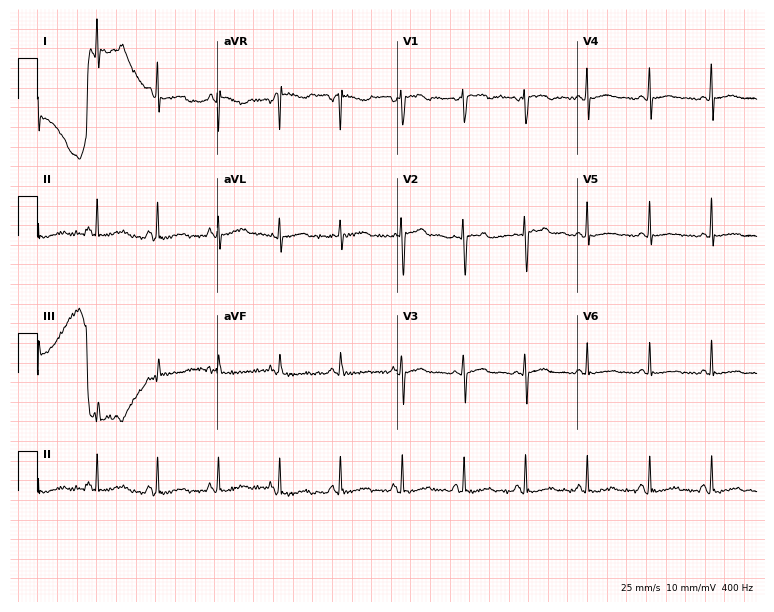
Resting 12-lead electrocardiogram. Patient: a 54-year-old female. None of these six findings is recorded: first-degree AV block, right bundle branch block, left bundle branch block, sinus bradycardia, atrial fibrillation, sinus tachycardia. Other findings, if any, are not listed.